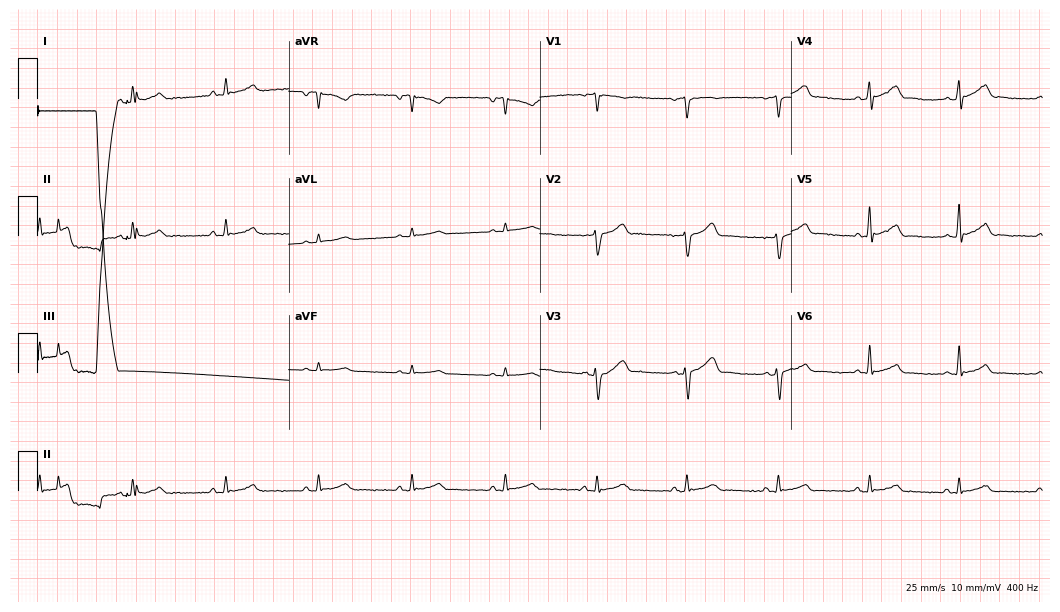
12-lead ECG from a male patient, 54 years old (10.2-second recording at 400 Hz). Recorded interpretation: within normal limits.